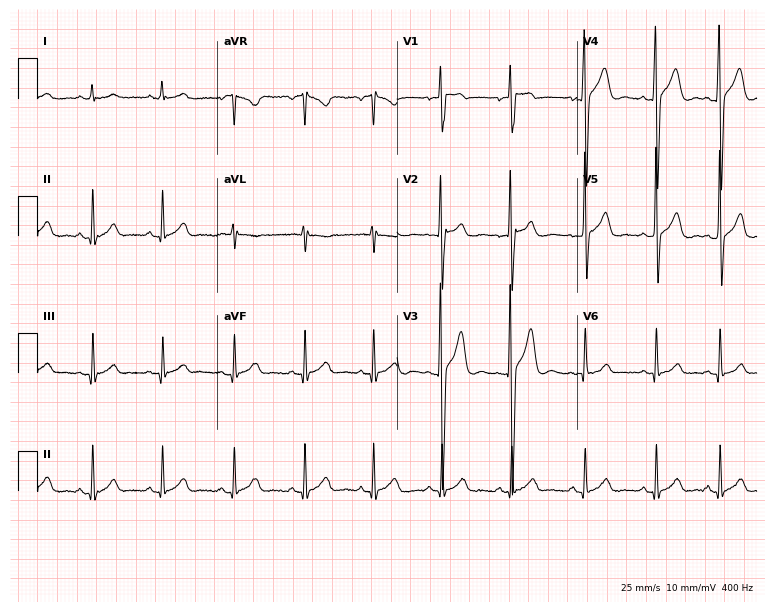
12-lead ECG from an 18-year-old man (7.3-second recording at 400 Hz). Recorded interpretation: within normal limits.